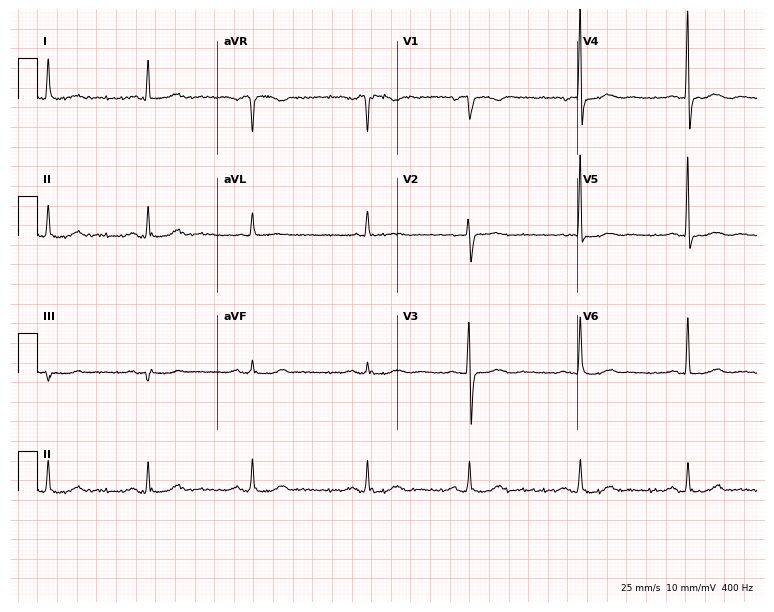
12-lead ECG from a 67-year-old female (7.3-second recording at 400 Hz). No first-degree AV block, right bundle branch block (RBBB), left bundle branch block (LBBB), sinus bradycardia, atrial fibrillation (AF) or sinus tachycardia recorded for this tracing. Findings outside these six are not listed.